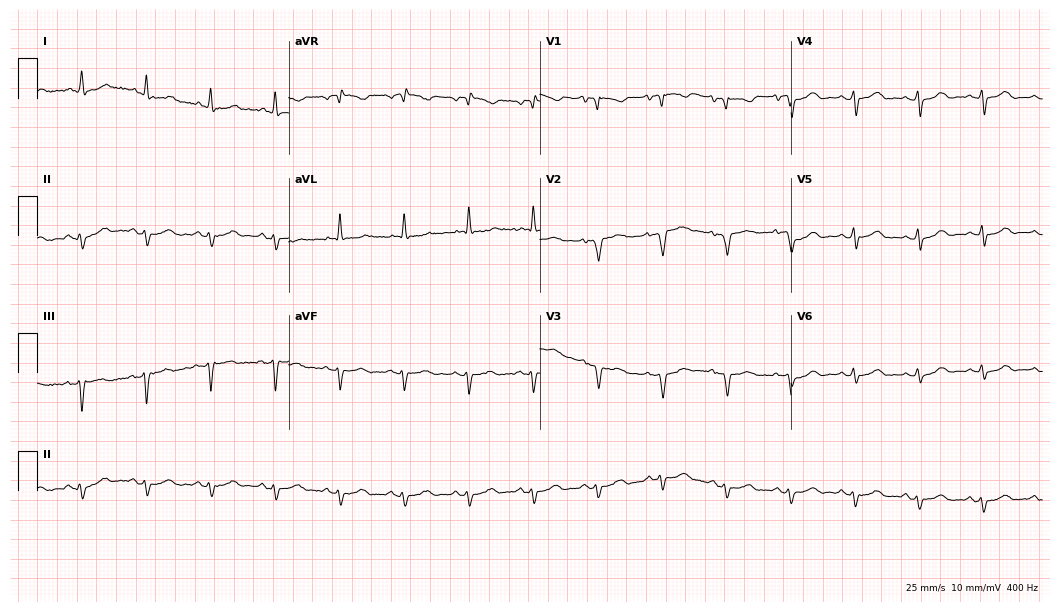
12-lead ECG (10.2-second recording at 400 Hz) from an 80-year-old female. Screened for six findings — first-degree AV block, right bundle branch block, left bundle branch block, sinus bradycardia, atrial fibrillation, sinus tachycardia — none is recorded. Findings outside these six are not listed.